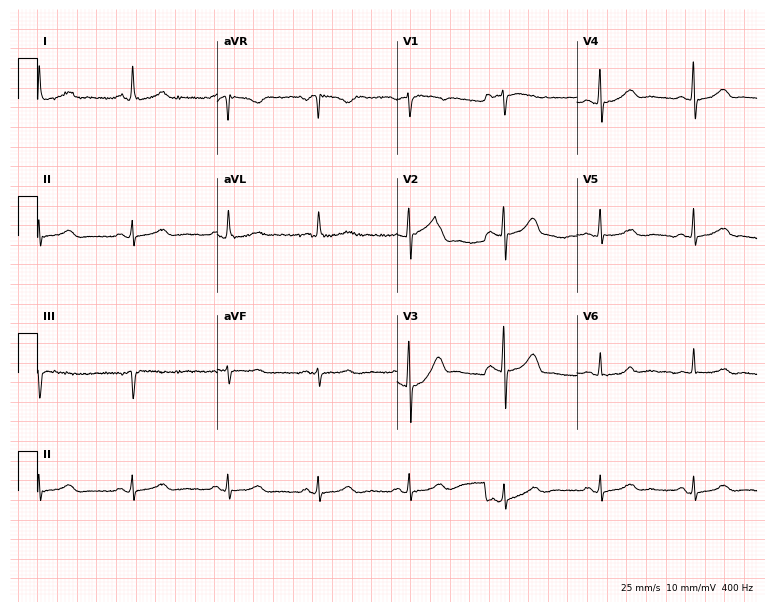
Electrocardiogram, a woman, 53 years old. Of the six screened findings (first-degree AV block, right bundle branch block, left bundle branch block, sinus bradycardia, atrial fibrillation, sinus tachycardia), none is recorded.